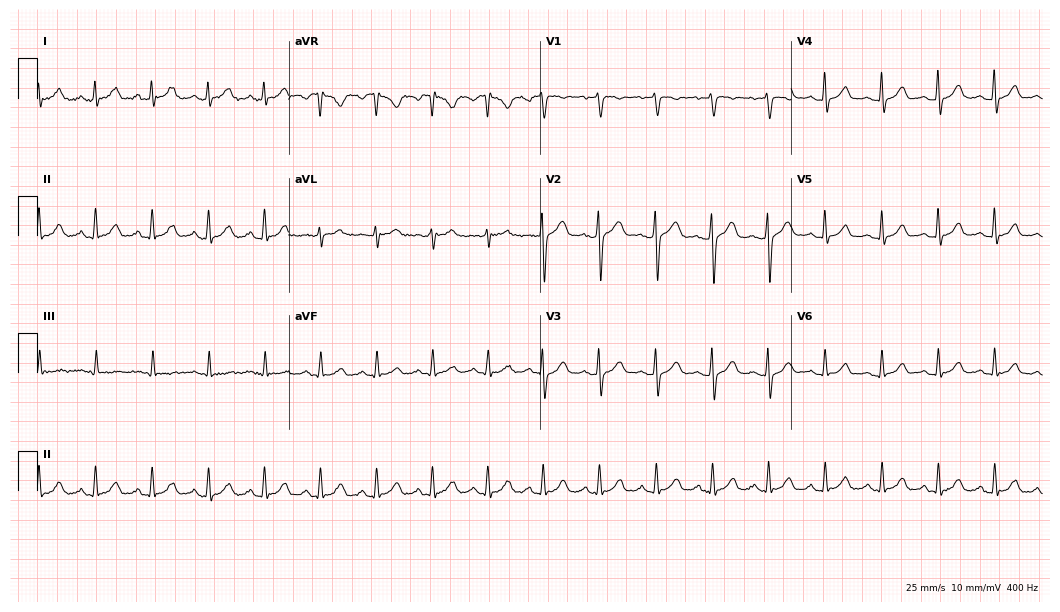
12-lead ECG (10.2-second recording at 400 Hz) from a woman, 25 years old. Findings include sinus tachycardia (a sinus rate of 100 beats per minute or more).